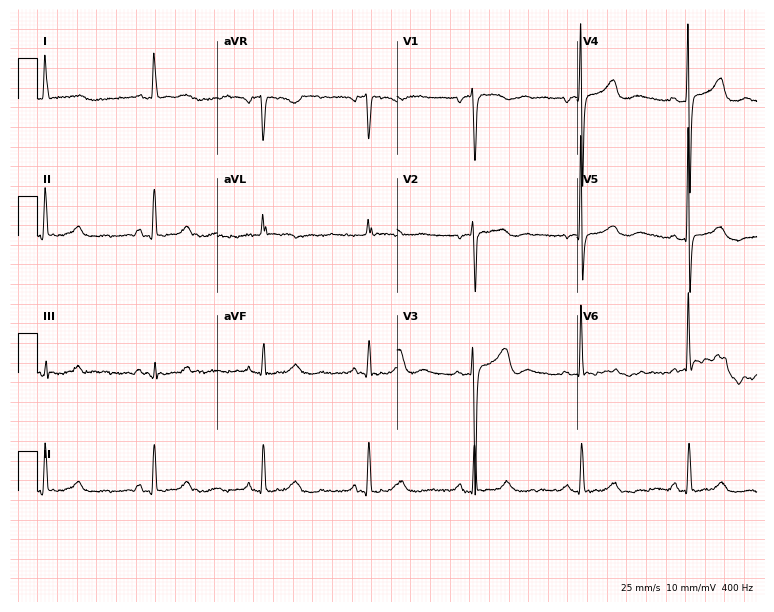
12-lead ECG from a woman, 75 years old. Screened for six findings — first-degree AV block, right bundle branch block, left bundle branch block, sinus bradycardia, atrial fibrillation, sinus tachycardia — none is recorded.